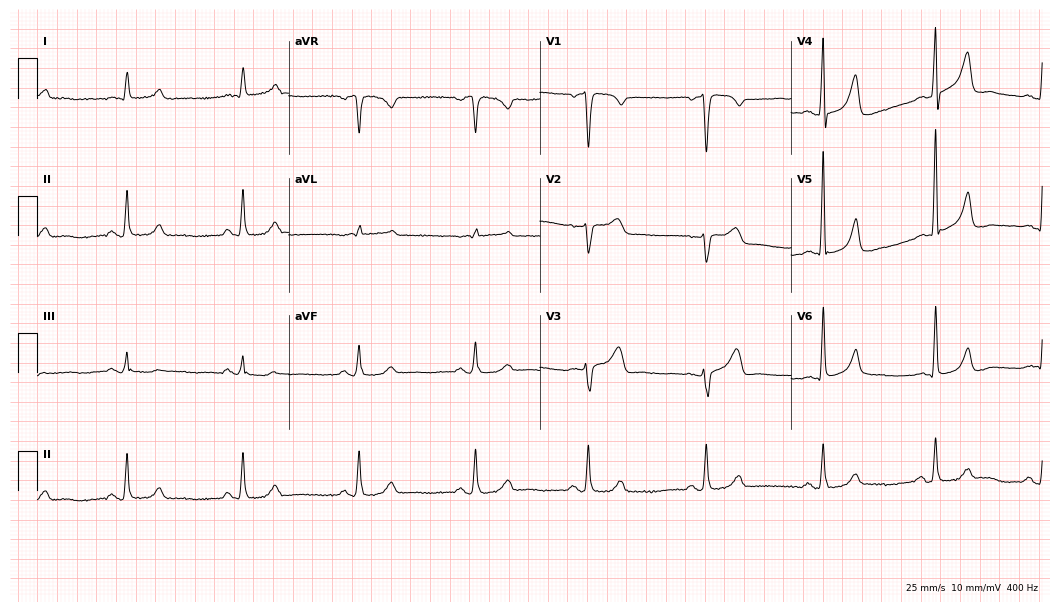
Standard 12-lead ECG recorded from a male patient, 44 years old. Read as a normal ECG.